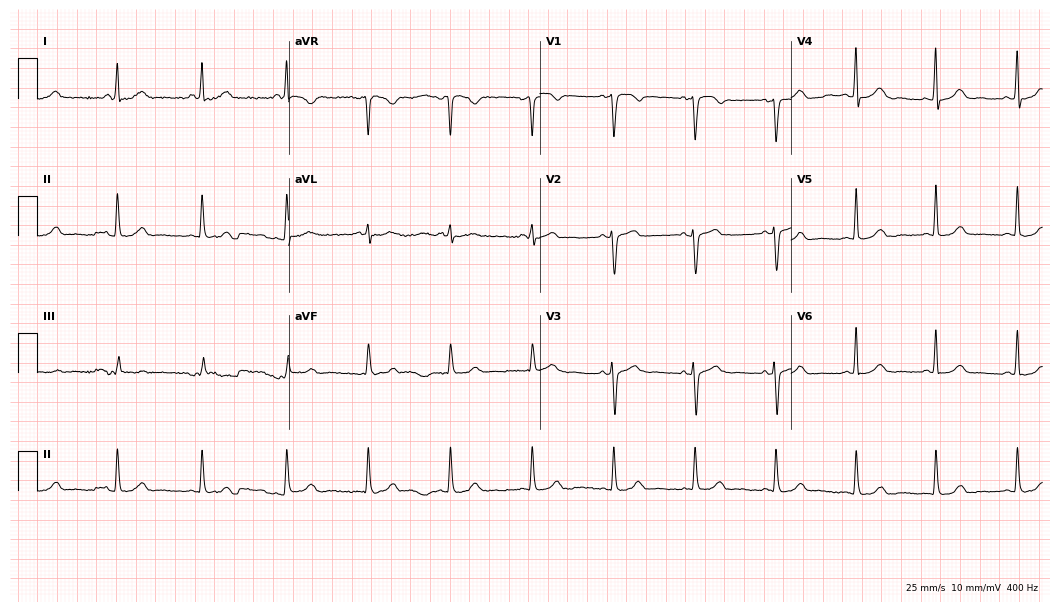
Resting 12-lead electrocardiogram. Patient: a female, 55 years old. None of these six findings is recorded: first-degree AV block, right bundle branch block, left bundle branch block, sinus bradycardia, atrial fibrillation, sinus tachycardia.